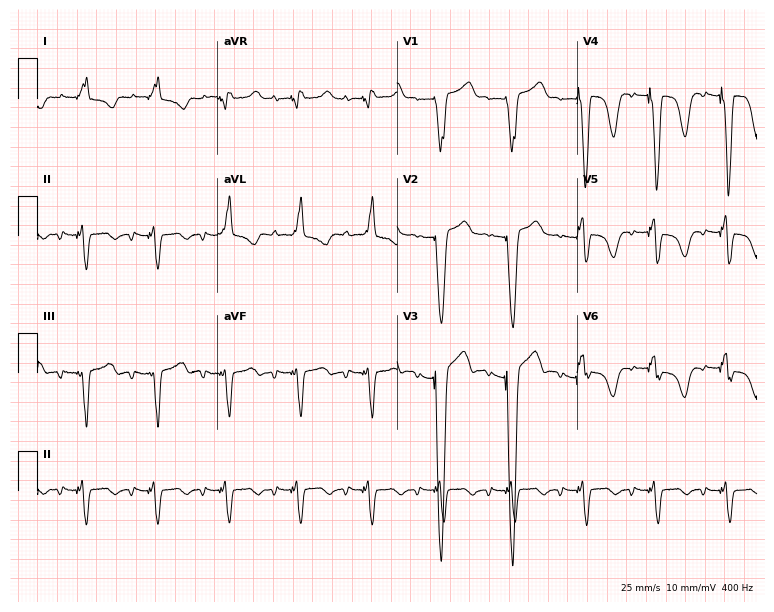
12-lead ECG from an 85-year-old woman. No first-degree AV block, right bundle branch block, left bundle branch block, sinus bradycardia, atrial fibrillation or sinus tachycardia recorded for this tracing. Other findings, if any, are not listed.